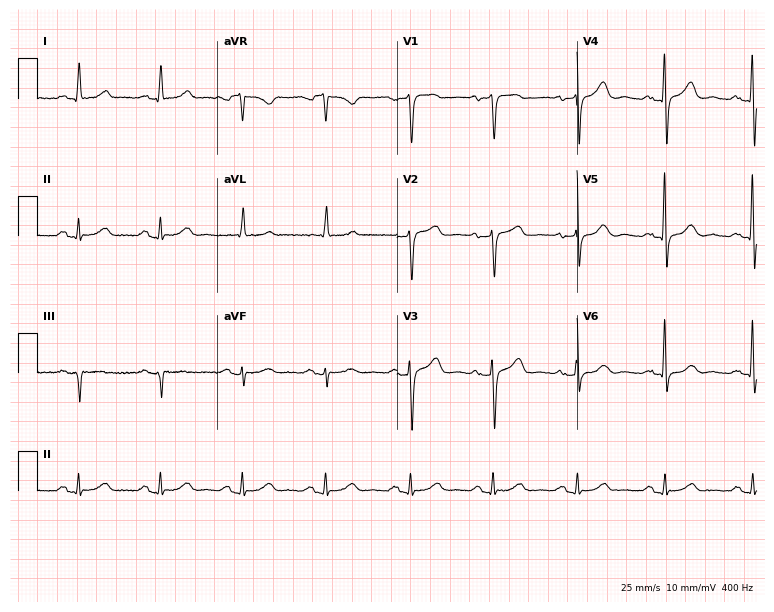
Resting 12-lead electrocardiogram (7.3-second recording at 400 Hz). Patient: a 62-year-old female. Read as a normal ECG.